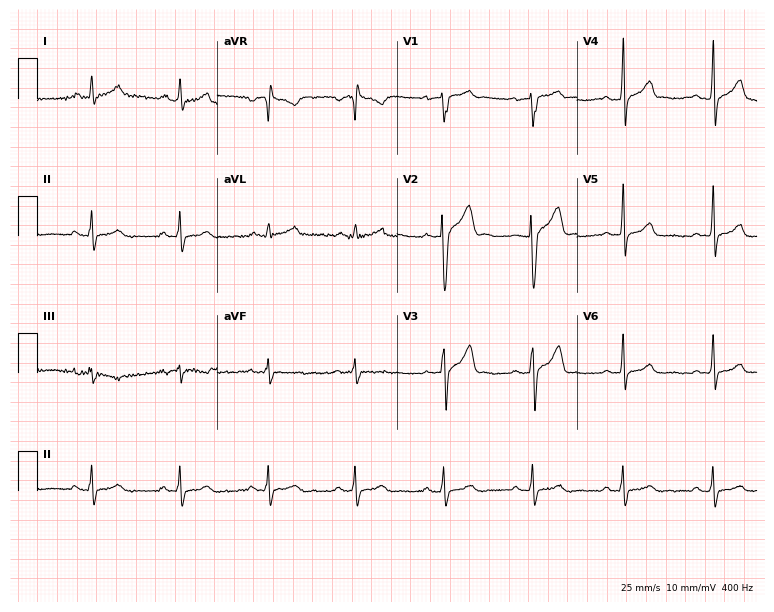
Resting 12-lead electrocardiogram (7.3-second recording at 400 Hz). Patient: a male, 37 years old. Read as a normal ECG.